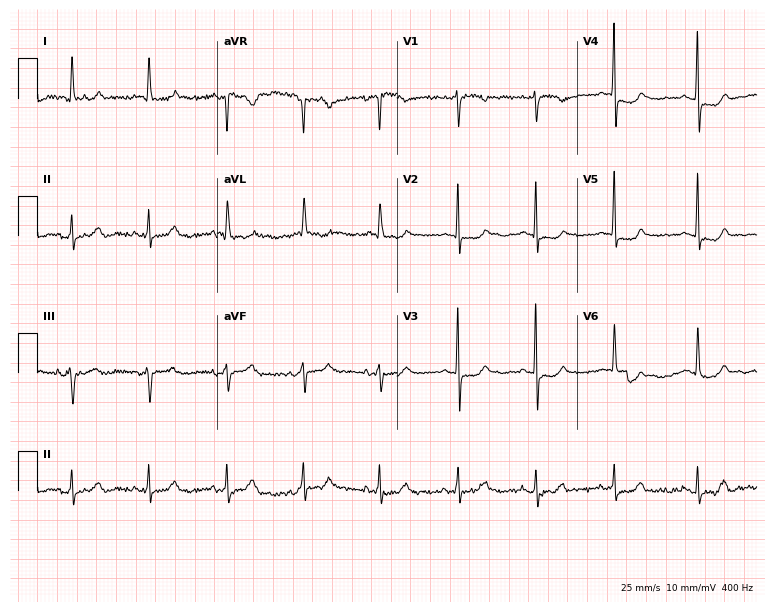
12-lead ECG from an 84-year-old female patient (7.3-second recording at 400 Hz). No first-degree AV block, right bundle branch block, left bundle branch block, sinus bradycardia, atrial fibrillation or sinus tachycardia recorded for this tracing. Only these six findings were labelled.